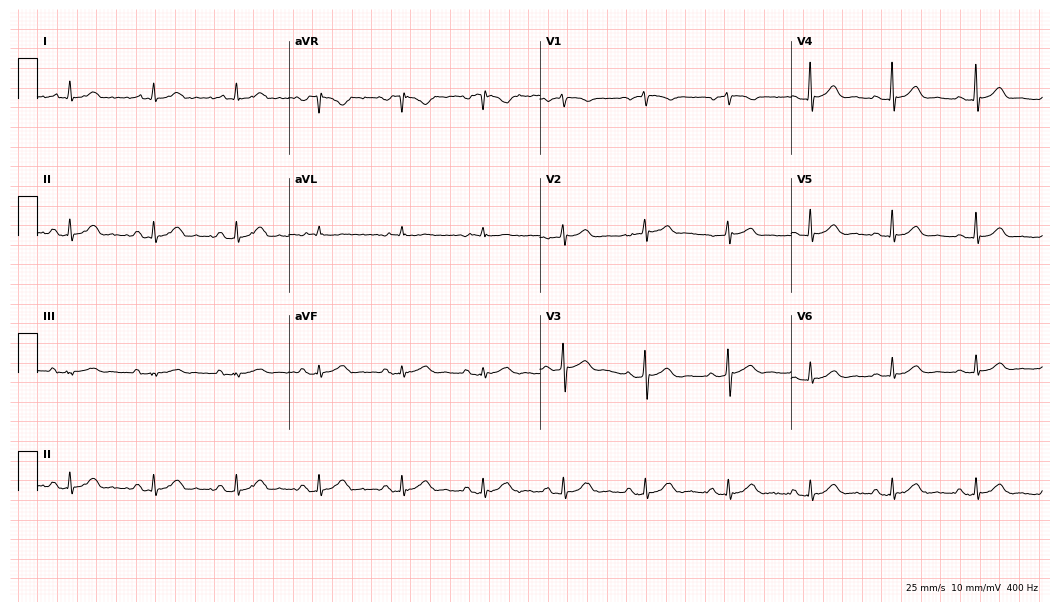
Electrocardiogram (10.2-second recording at 400 Hz), a 57-year-old male. Overall reading on record: normal ECG.